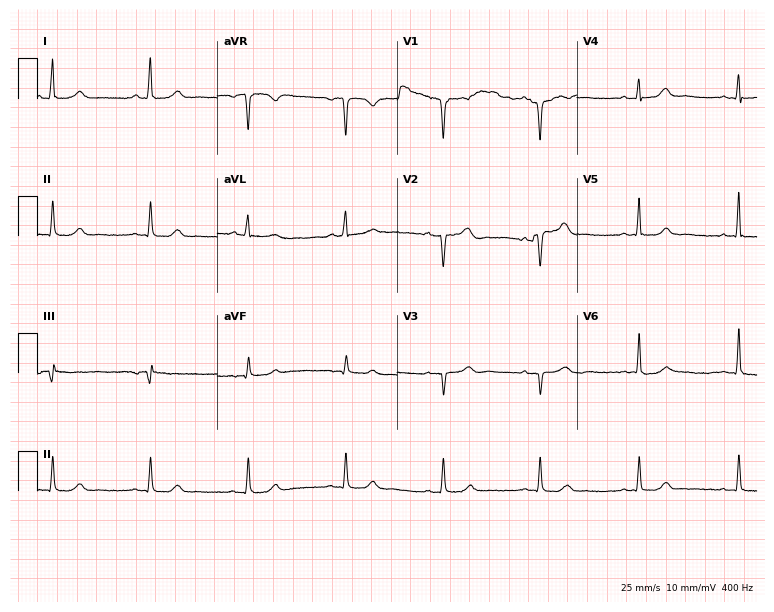
12-lead ECG from a 60-year-old female (7.3-second recording at 400 Hz). Recorded interpretation: within normal limits.